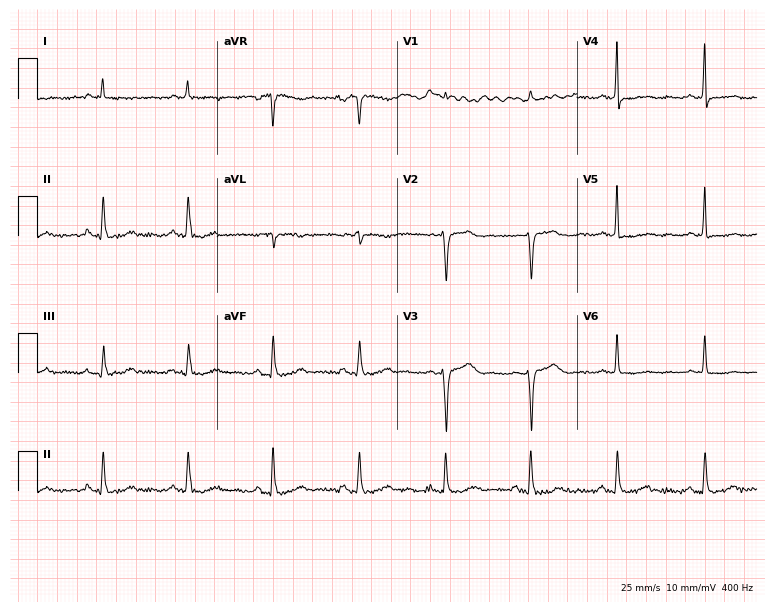
Resting 12-lead electrocardiogram. Patient: an 84-year-old male. None of these six findings is recorded: first-degree AV block, right bundle branch block, left bundle branch block, sinus bradycardia, atrial fibrillation, sinus tachycardia. Only these six findings were labelled.